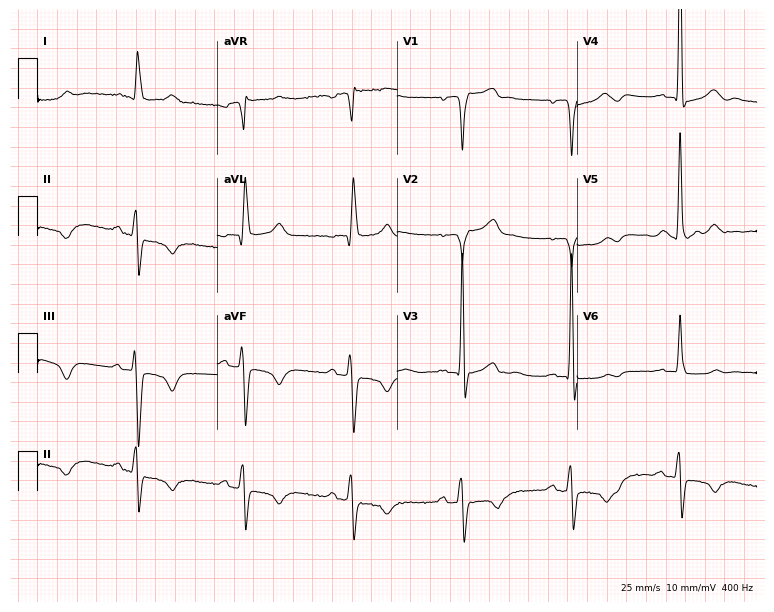
ECG — a 65-year-old man. Findings include left bundle branch block.